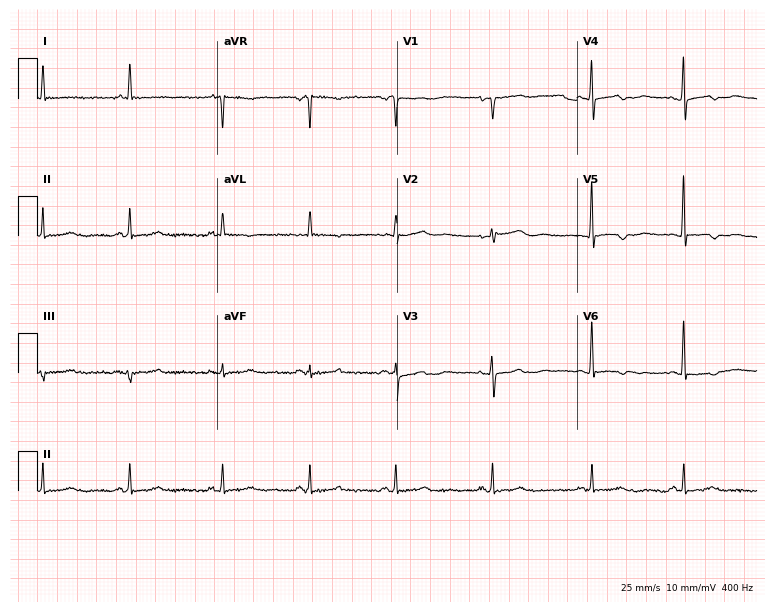
12-lead ECG (7.3-second recording at 400 Hz) from a 76-year-old female patient. Screened for six findings — first-degree AV block, right bundle branch block, left bundle branch block, sinus bradycardia, atrial fibrillation, sinus tachycardia — none is recorded.